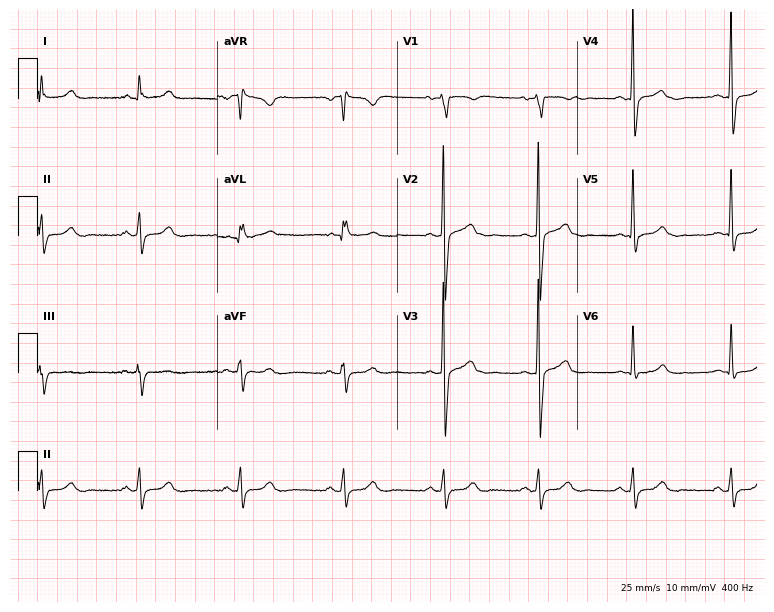
12-lead ECG from a 46-year-old man. Recorded interpretation: within normal limits.